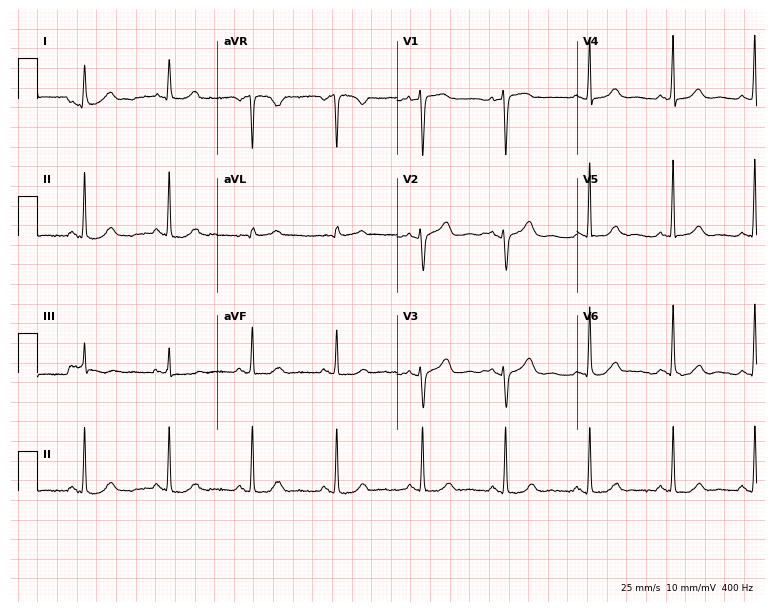
12-lead ECG from a female patient, 56 years old. Labelled as a normal ECG.